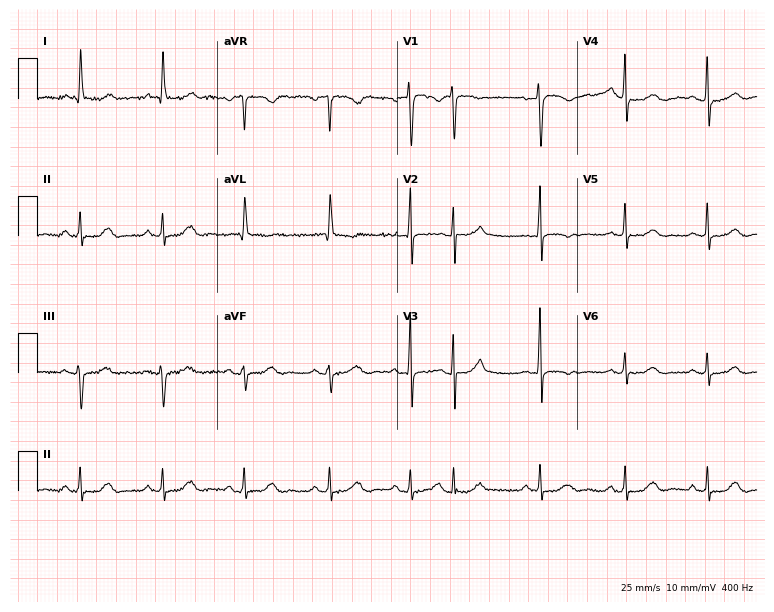
ECG (7.3-second recording at 400 Hz) — a female, 73 years old. Screened for six findings — first-degree AV block, right bundle branch block, left bundle branch block, sinus bradycardia, atrial fibrillation, sinus tachycardia — none is recorded.